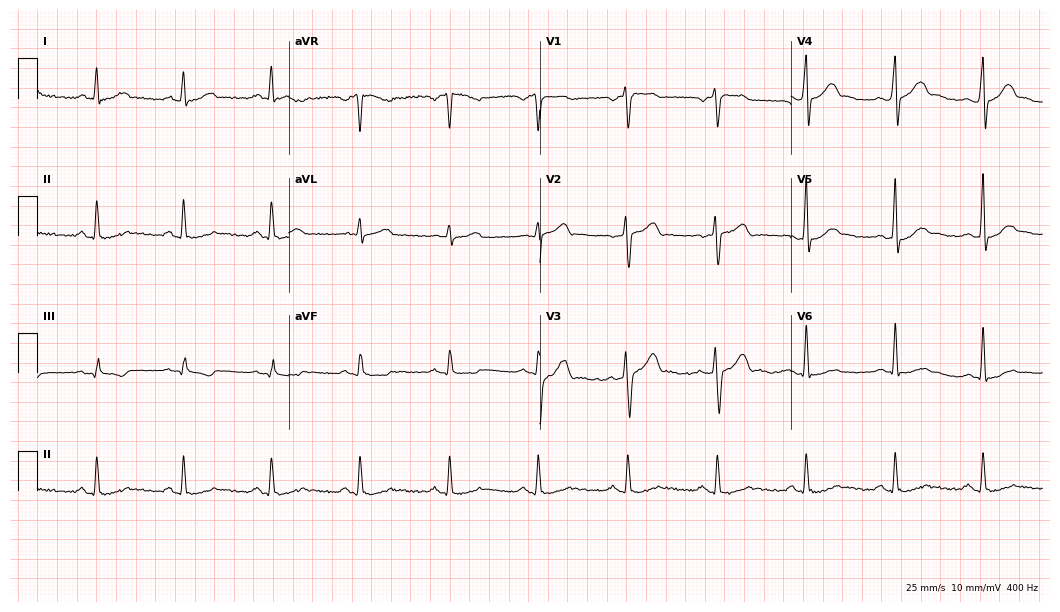
12-lead ECG (10.2-second recording at 400 Hz) from a male patient, 40 years old. Labelled as a normal ECG.